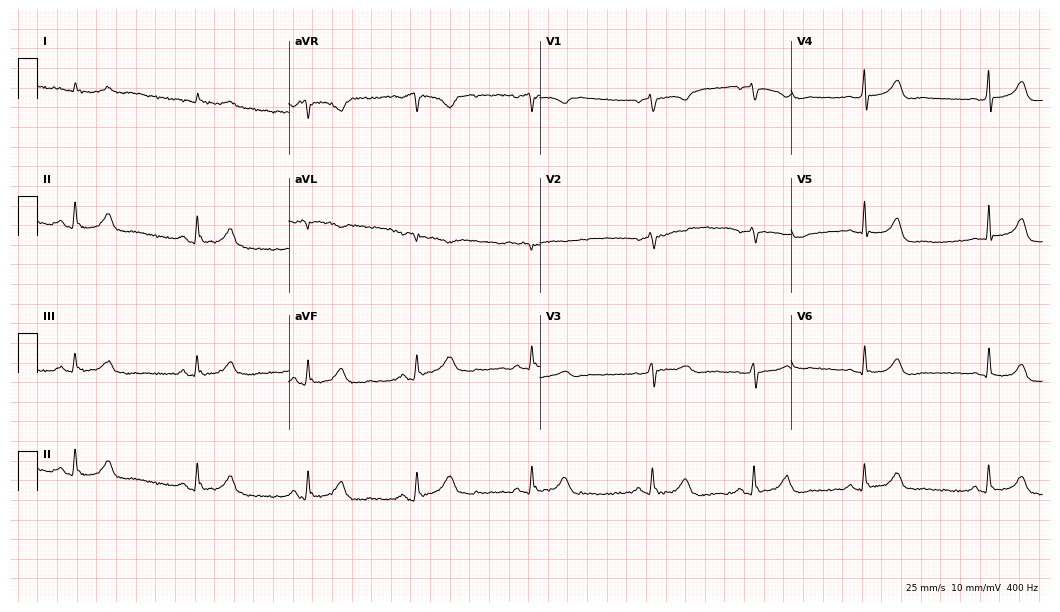
Standard 12-lead ECG recorded from a 75-year-old male patient. Read as a normal ECG.